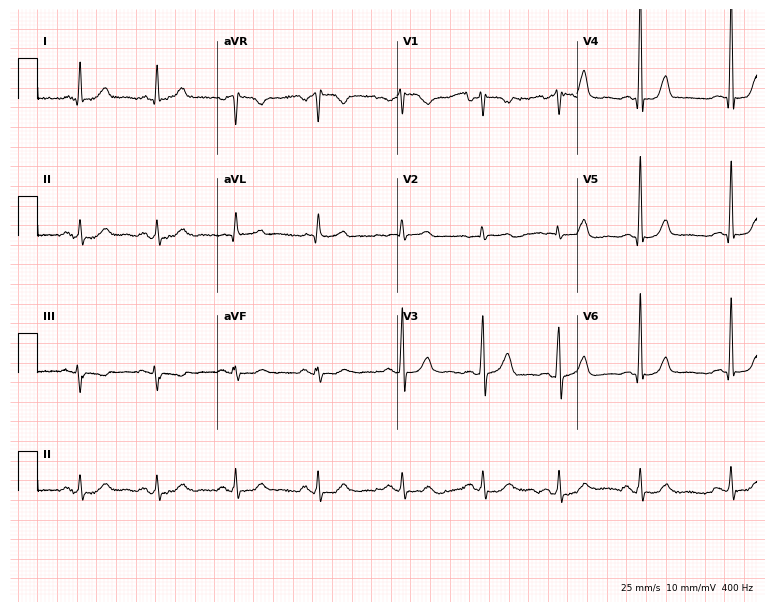
12-lead ECG from a 58-year-old woman (7.3-second recording at 400 Hz). Recorded interpretation: within normal limits.